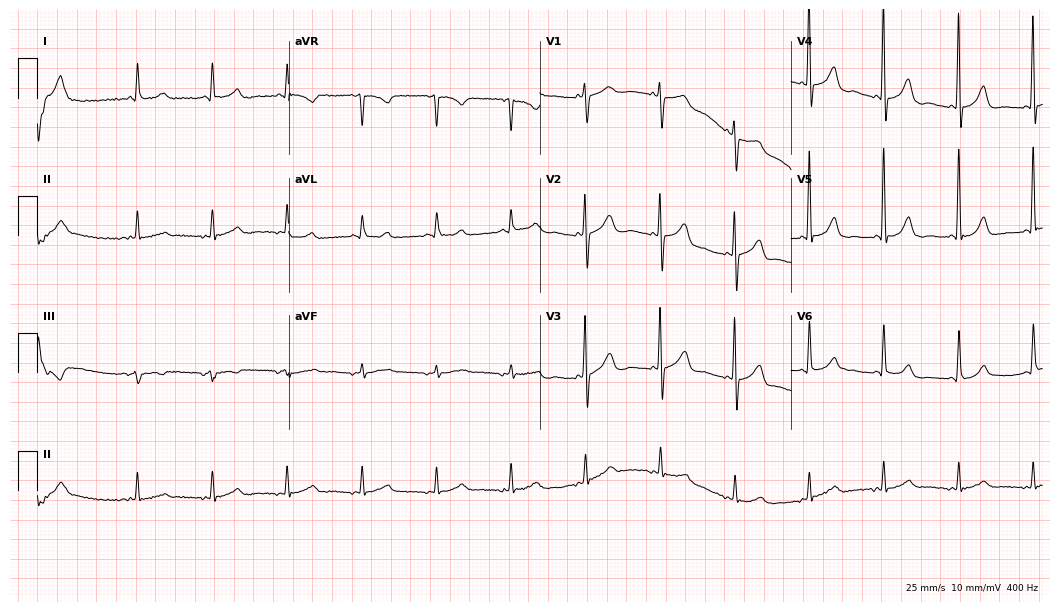
ECG (10.2-second recording at 400 Hz) — a female, 83 years old. Screened for six findings — first-degree AV block, right bundle branch block (RBBB), left bundle branch block (LBBB), sinus bradycardia, atrial fibrillation (AF), sinus tachycardia — none is recorded. Findings outside these six are not listed.